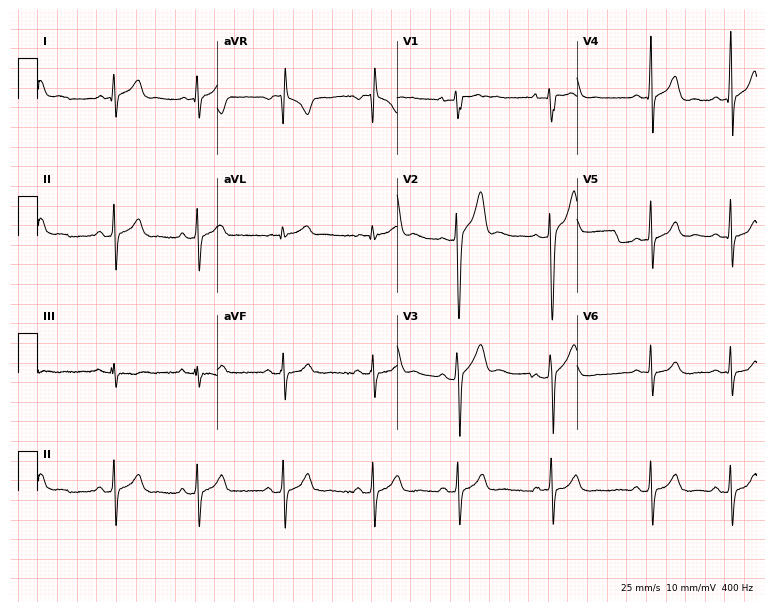
12-lead ECG from a 19-year-old man. Recorded interpretation: within normal limits.